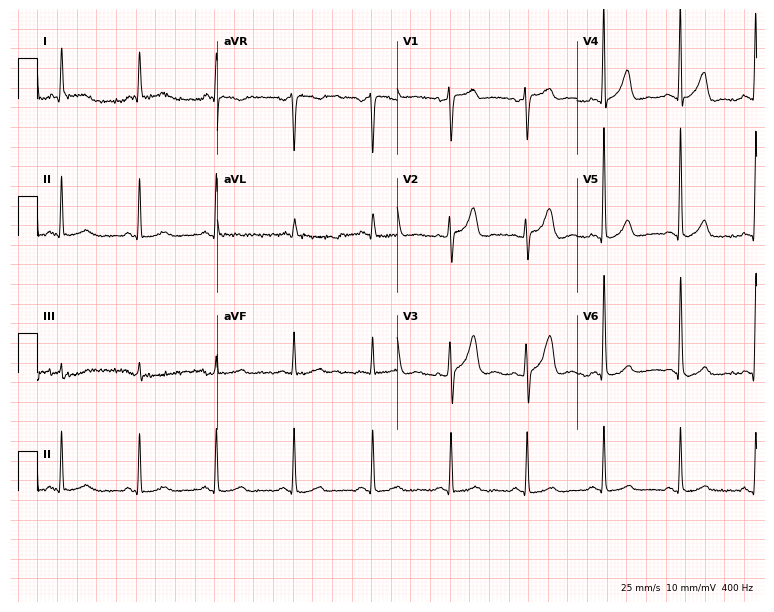
Electrocardiogram (7.3-second recording at 400 Hz), a 67-year-old male. Of the six screened findings (first-degree AV block, right bundle branch block (RBBB), left bundle branch block (LBBB), sinus bradycardia, atrial fibrillation (AF), sinus tachycardia), none is recorded. Findings outside these six are not listed.